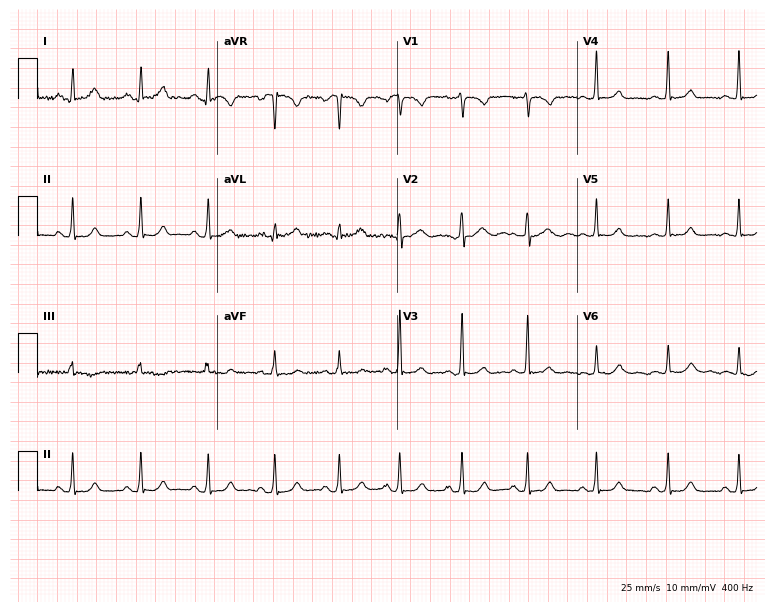
ECG — a woman, 25 years old. Screened for six findings — first-degree AV block, right bundle branch block (RBBB), left bundle branch block (LBBB), sinus bradycardia, atrial fibrillation (AF), sinus tachycardia — none is recorded.